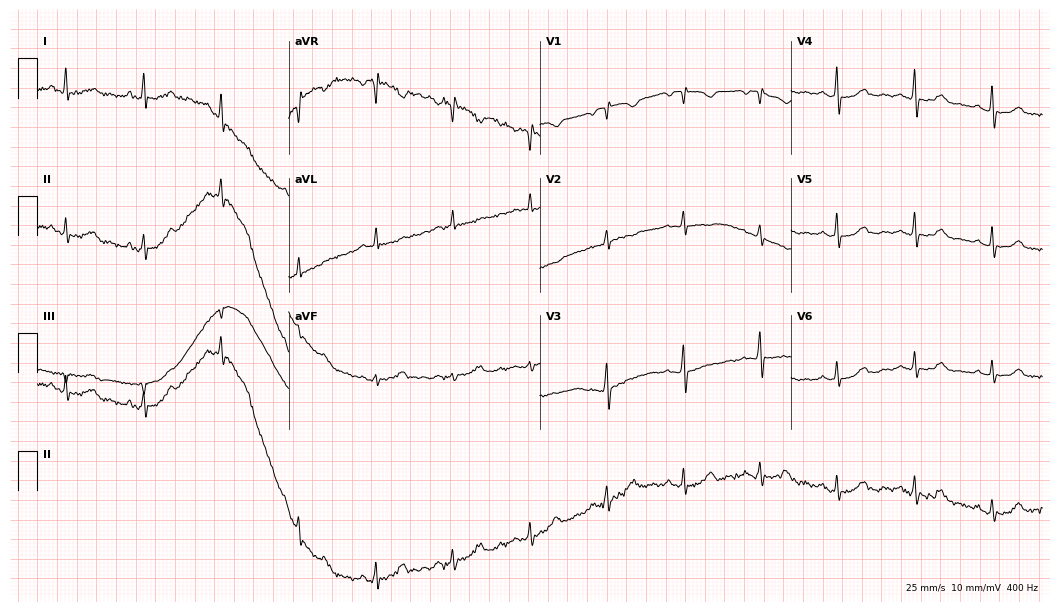
12-lead ECG from a 51-year-old female. Screened for six findings — first-degree AV block, right bundle branch block (RBBB), left bundle branch block (LBBB), sinus bradycardia, atrial fibrillation (AF), sinus tachycardia — none is recorded. Findings outside these six are not listed.